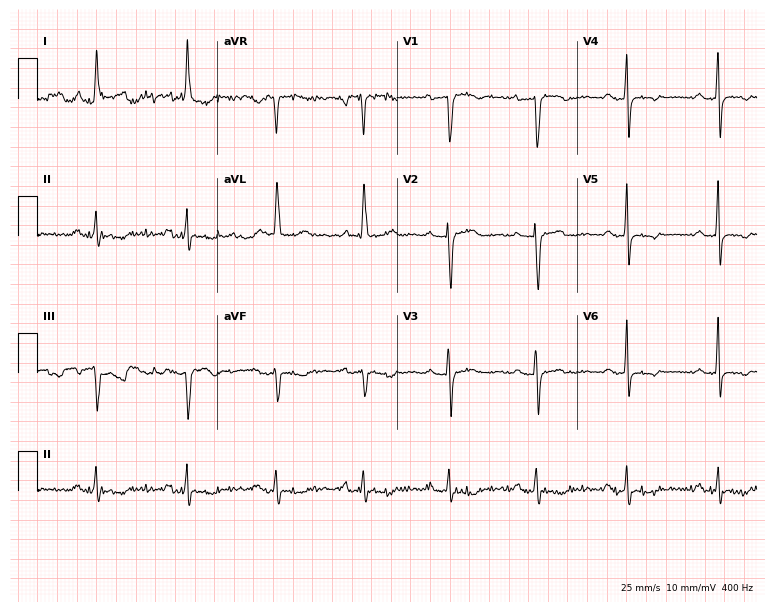
12-lead ECG (7.3-second recording at 400 Hz) from a 70-year-old female. Screened for six findings — first-degree AV block, right bundle branch block, left bundle branch block, sinus bradycardia, atrial fibrillation, sinus tachycardia — none is recorded.